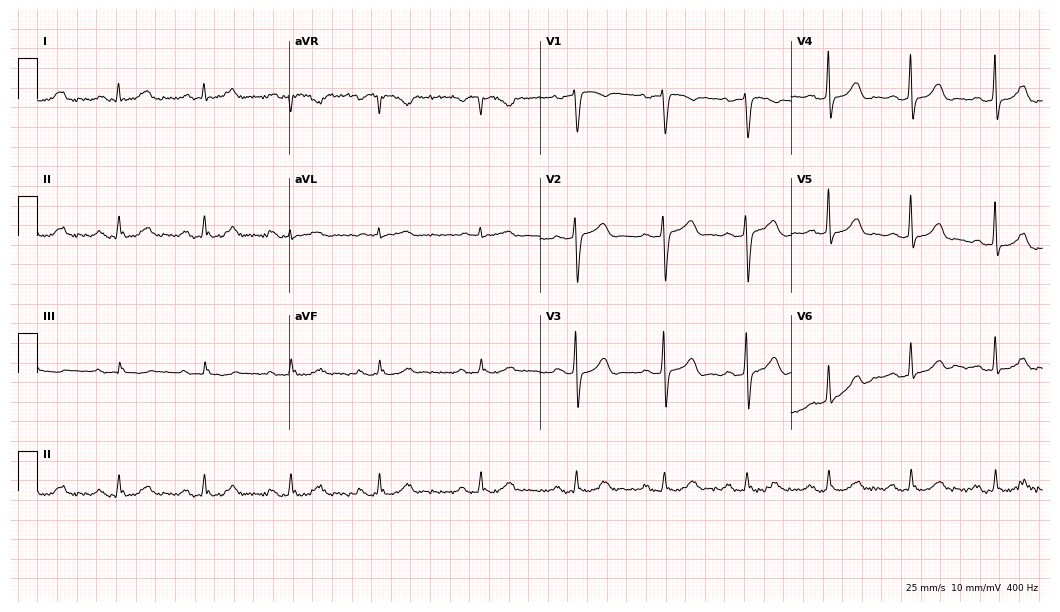
12-lead ECG (10.2-second recording at 400 Hz) from a 76-year-old male. Findings include first-degree AV block.